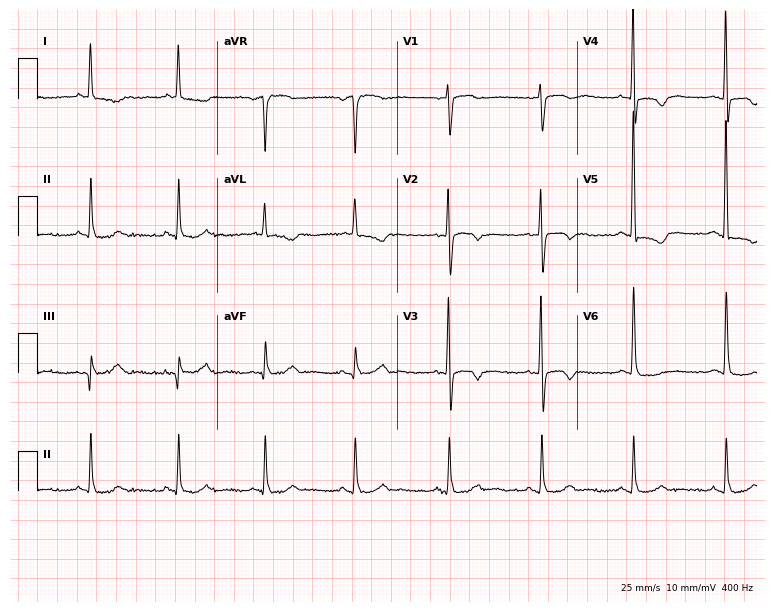
12-lead ECG from an 85-year-old female. Screened for six findings — first-degree AV block, right bundle branch block, left bundle branch block, sinus bradycardia, atrial fibrillation, sinus tachycardia — none is recorded.